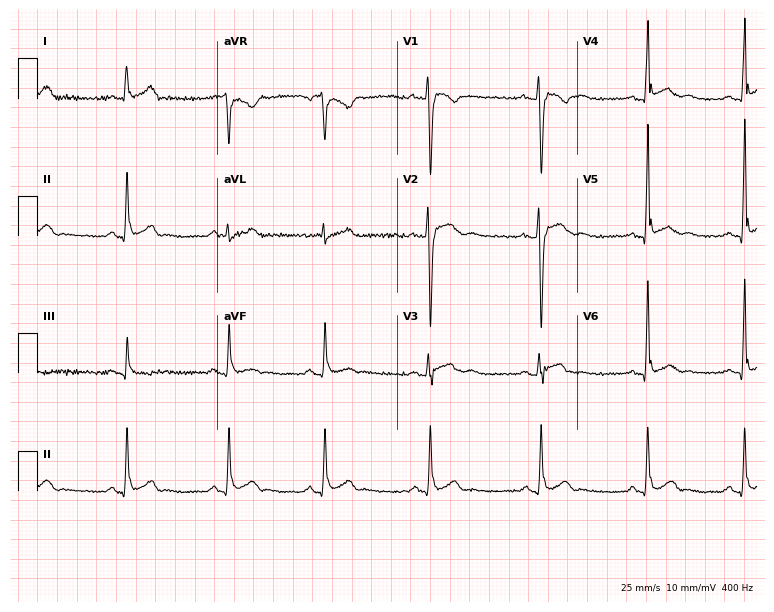
12-lead ECG from a male patient, 25 years old (7.3-second recording at 400 Hz). No first-degree AV block, right bundle branch block (RBBB), left bundle branch block (LBBB), sinus bradycardia, atrial fibrillation (AF) or sinus tachycardia recorded for this tracing. Findings outside these six are not listed.